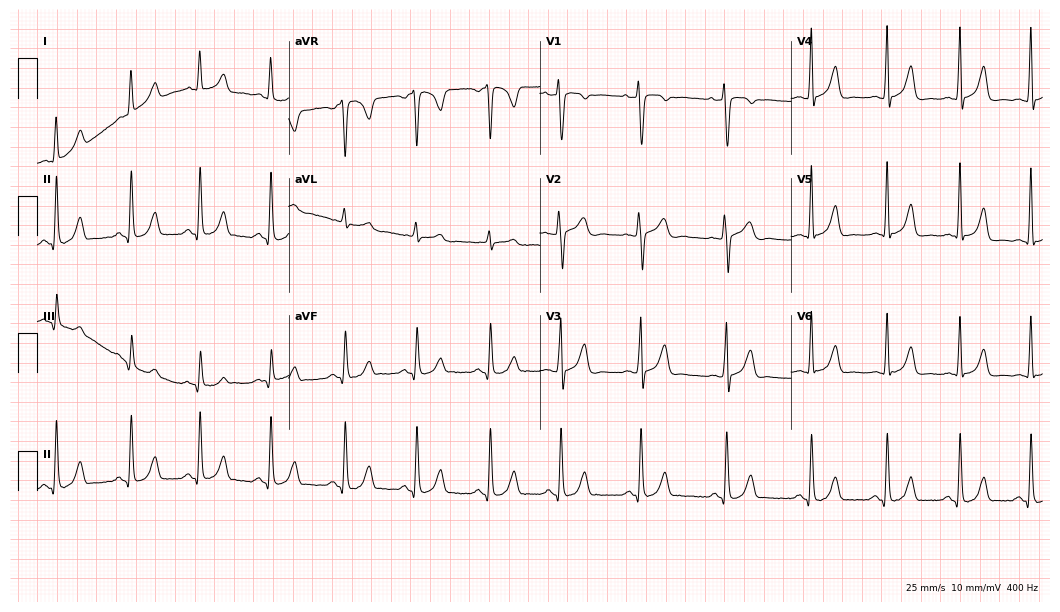
ECG — a female patient, 34 years old. Labelled as a normal ECG.